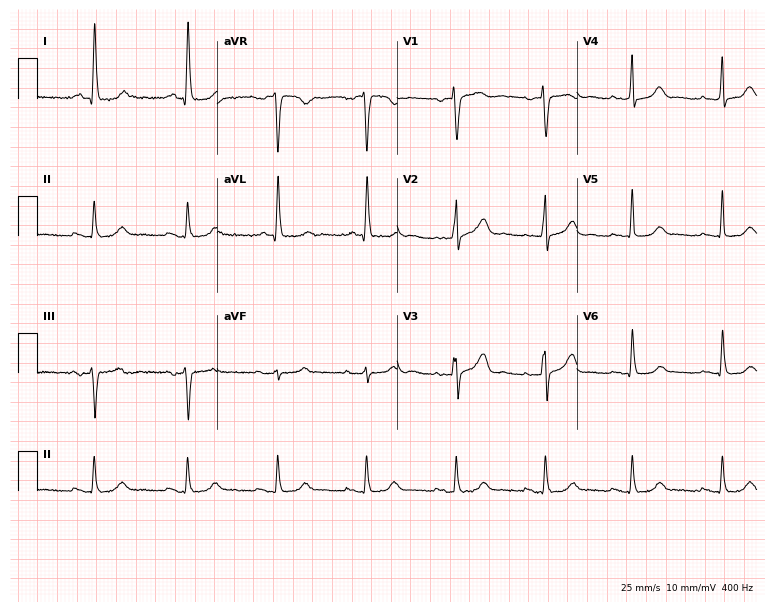
12-lead ECG (7.3-second recording at 400 Hz) from a 70-year-old female. Labelled as a normal ECG.